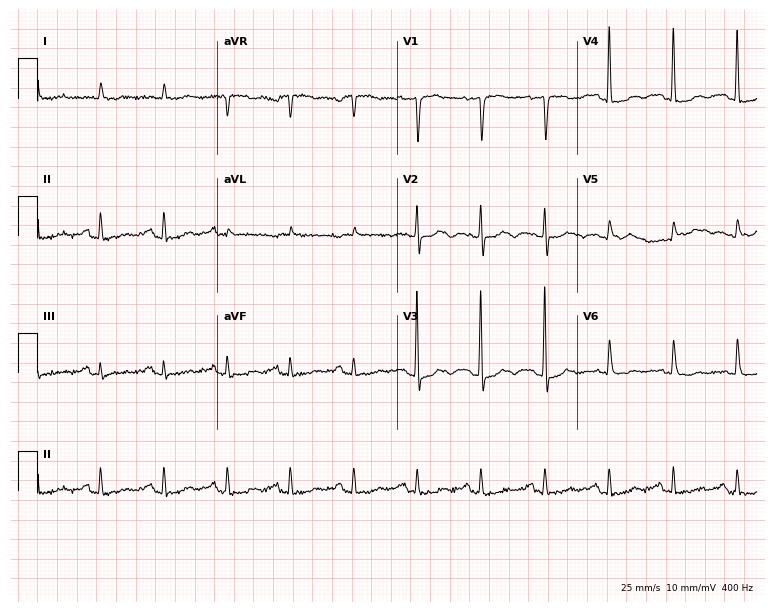
12-lead ECG from an 83-year-old woman. No first-degree AV block, right bundle branch block, left bundle branch block, sinus bradycardia, atrial fibrillation or sinus tachycardia recorded for this tracing.